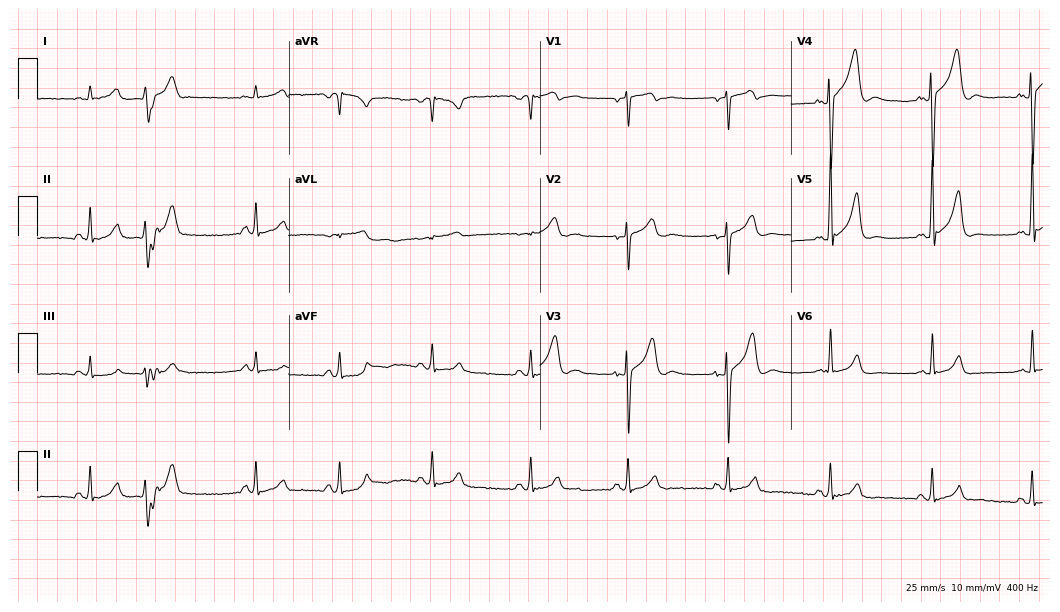
12-lead ECG from a male patient, 33 years old (10.2-second recording at 400 Hz). No first-degree AV block, right bundle branch block (RBBB), left bundle branch block (LBBB), sinus bradycardia, atrial fibrillation (AF) or sinus tachycardia recorded for this tracing. Other findings, if any, are not listed.